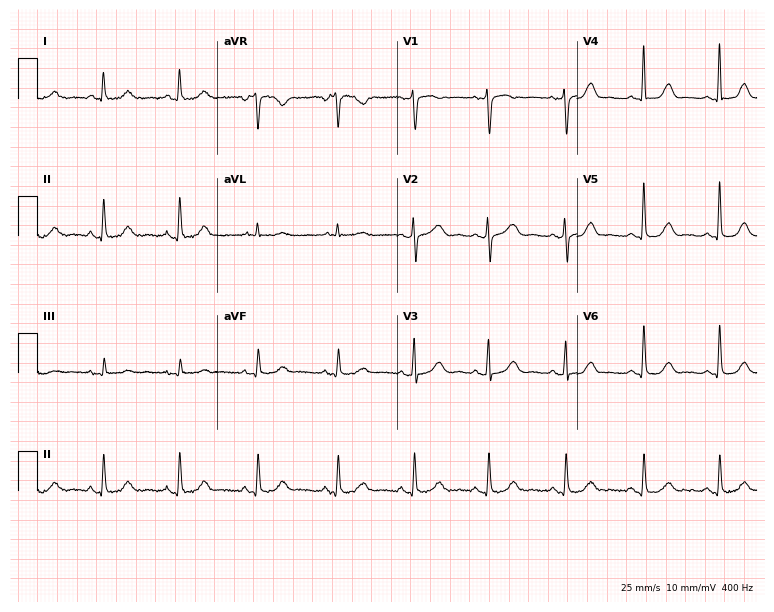
12-lead ECG (7.3-second recording at 400 Hz) from a 58-year-old female patient. Labelled as a normal ECG.